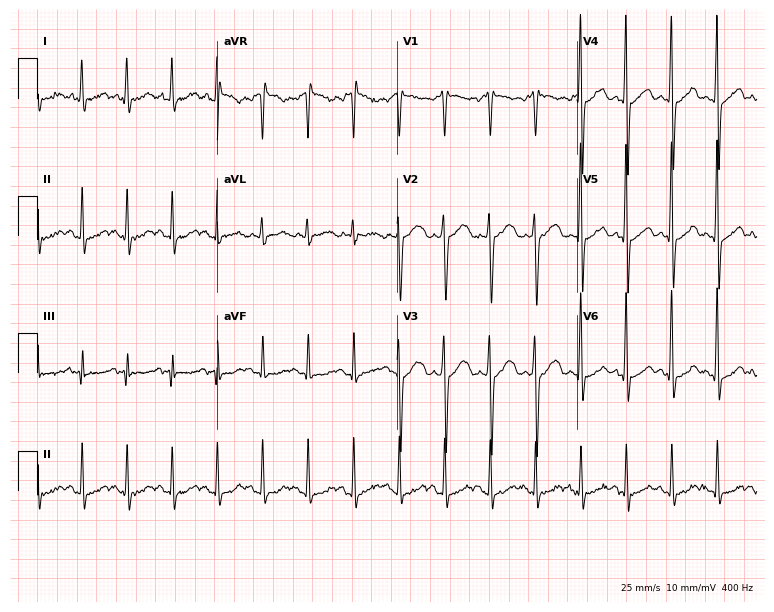
Standard 12-lead ECG recorded from a man, 42 years old (7.3-second recording at 400 Hz). The tracing shows sinus tachycardia (a sinus rate of 100 beats per minute or more).